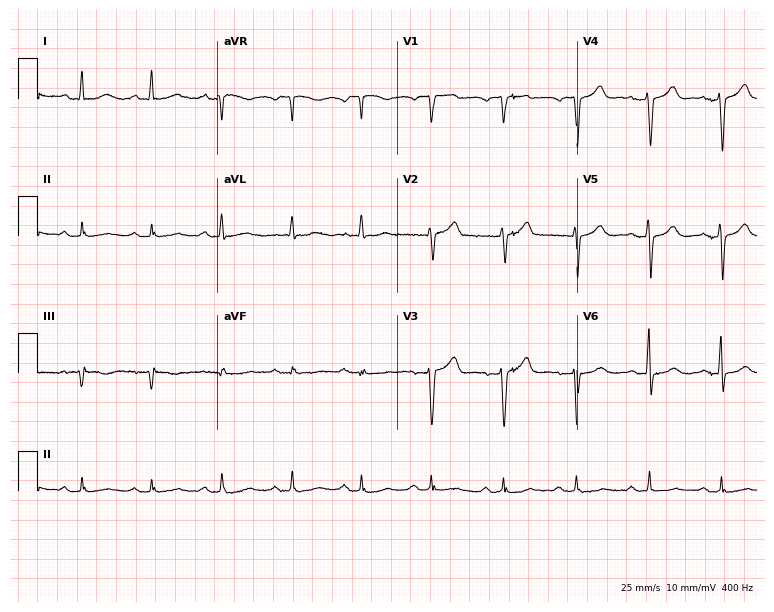
Standard 12-lead ECG recorded from a 59-year-old man. Read as a normal ECG.